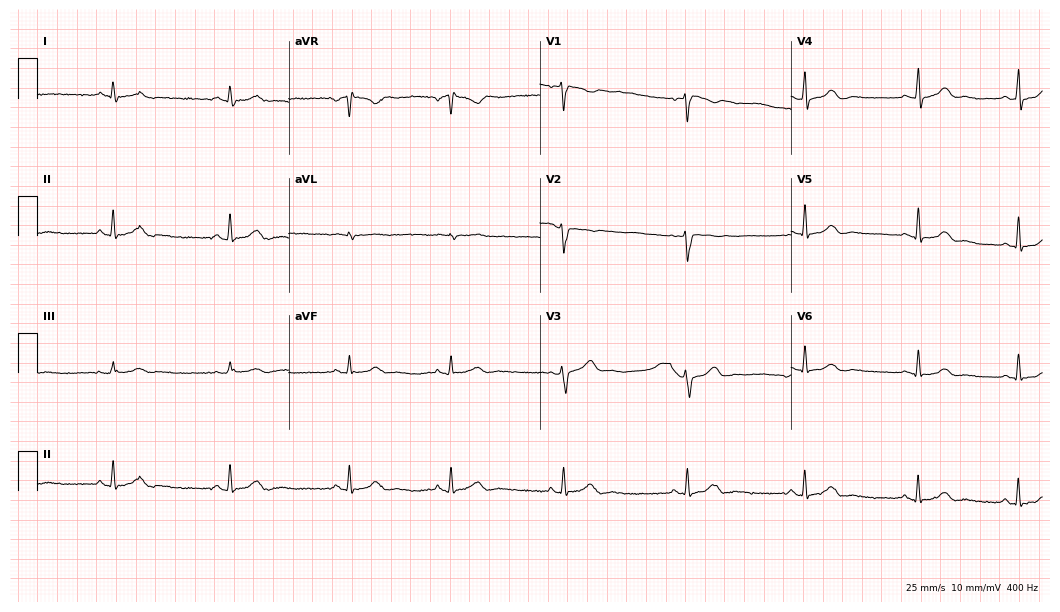
Standard 12-lead ECG recorded from a woman, 33 years old (10.2-second recording at 400 Hz). Read as a normal ECG.